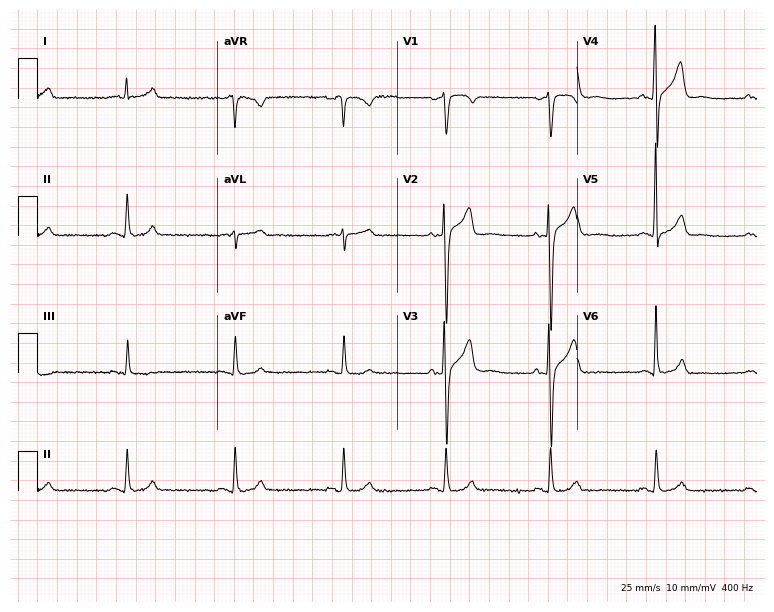
ECG — a 65-year-old man. Screened for six findings — first-degree AV block, right bundle branch block, left bundle branch block, sinus bradycardia, atrial fibrillation, sinus tachycardia — none is recorded.